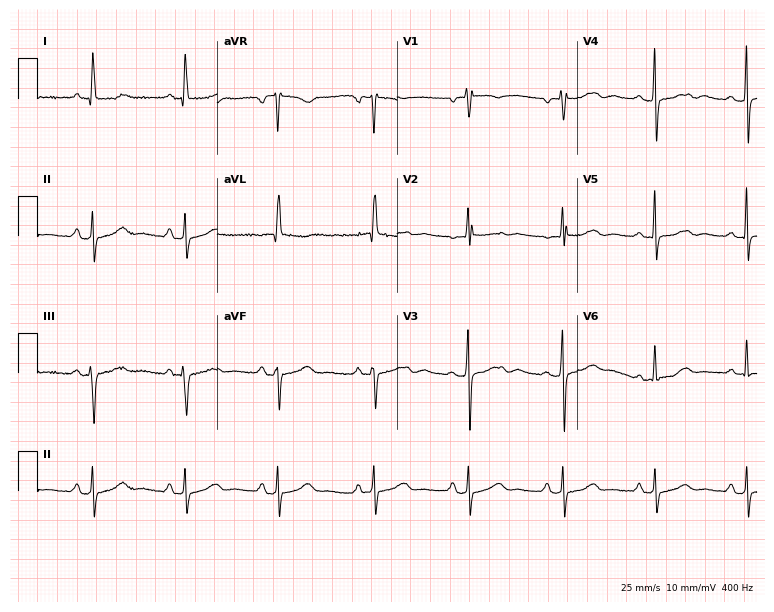
Resting 12-lead electrocardiogram (7.3-second recording at 400 Hz). Patient: a woman, 64 years old. None of these six findings is recorded: first-degree AV block, right bundle branch block (RBBB), left bundle branch block (LBBB), sinus bradycardia, atrial fibrillation (AF), sinus tachycardia.